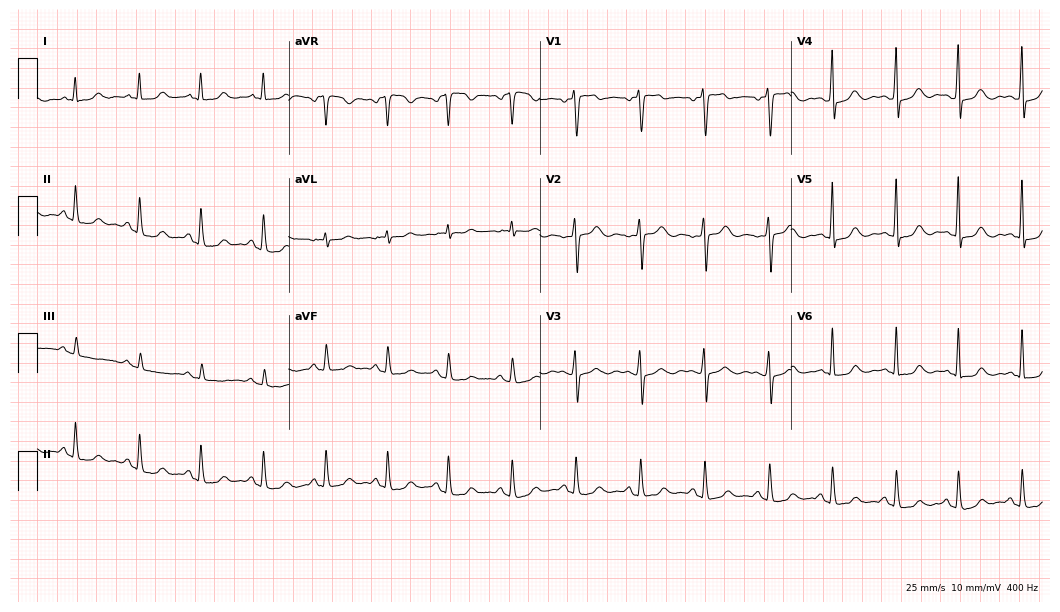
Standard 12-lead ECG recorded from a 51-year-old female patient. None of these six findings is recorded: first-degree AV block, right bundle branch block, left bundle branch block, sinus bradycardia, atrial fibrillation, sinus tachycardia.